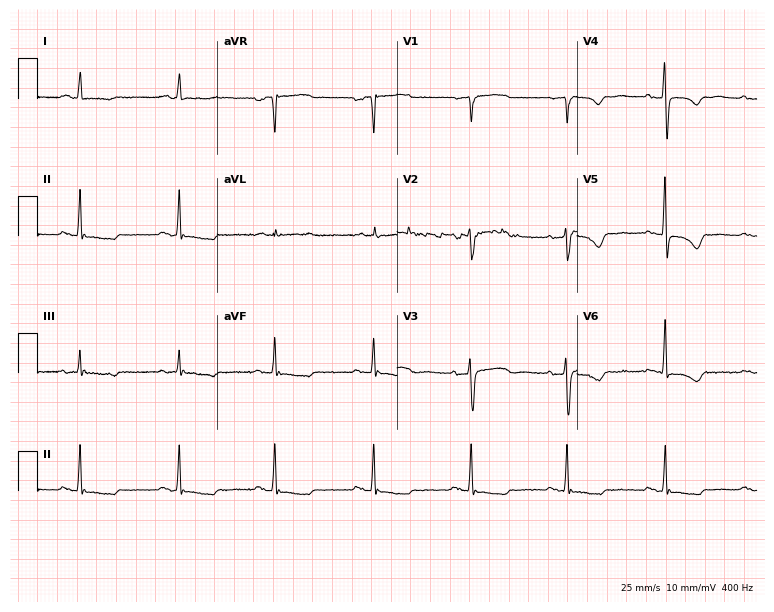
ECG — a female, 64 years old. Screened for six findings — first-degree AV block, right bundle branch block, left bundle branch block, sinus bradycardia, atrial fibrillation, sinus tachycardia — none is recorded.